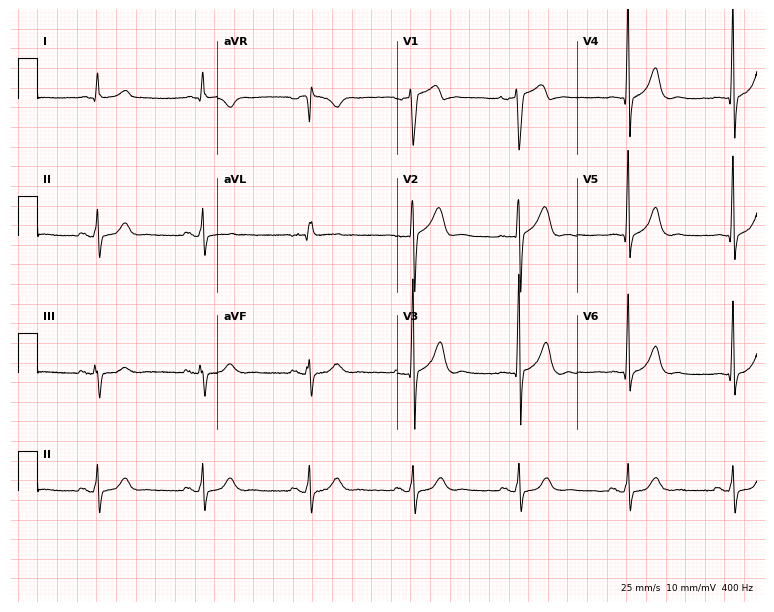
Resting 12-lead electrocardiogram. Patient: a 62-year-old male. None of these six findings is recorded: first-degree AV block, right bundle branch block, left bundle branch block, sinus bradycardia, atrial fibrillation, sinus tachycardia. Other findings, if any, are not listed.